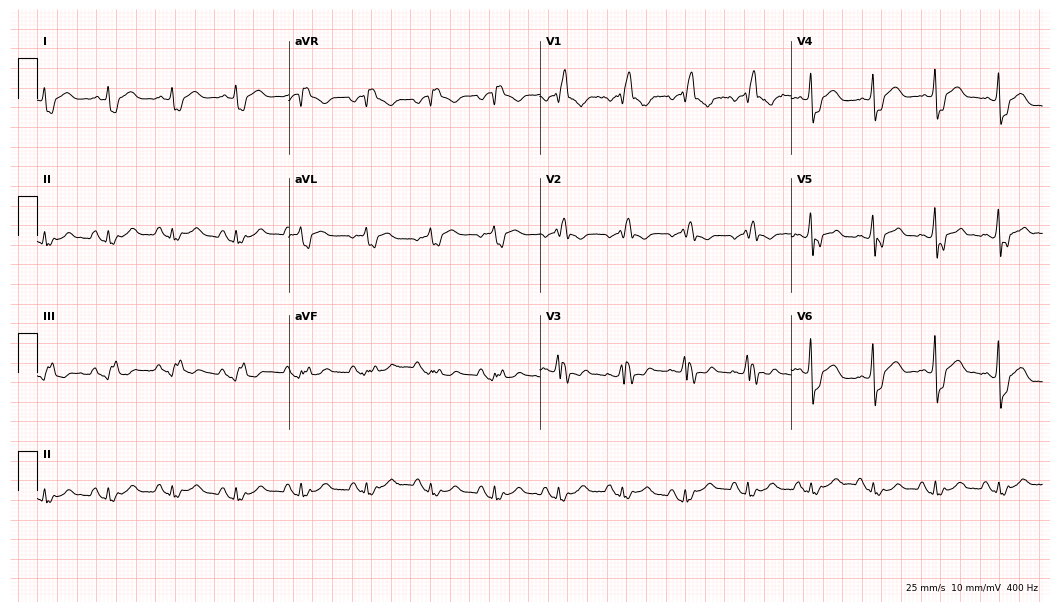
Electrocardiogram, a male patient, 57 years old. Interpretation includes right bundle branch block.